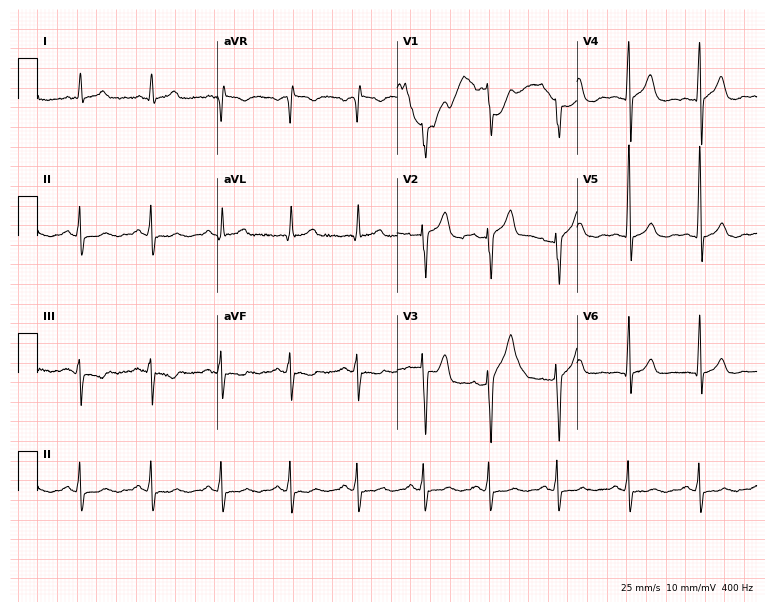
Resting 12-lead electrocardiogram (7.3-second recording at 400 Hz). Patient: a 41-year-old male. Read as a normal ECG.